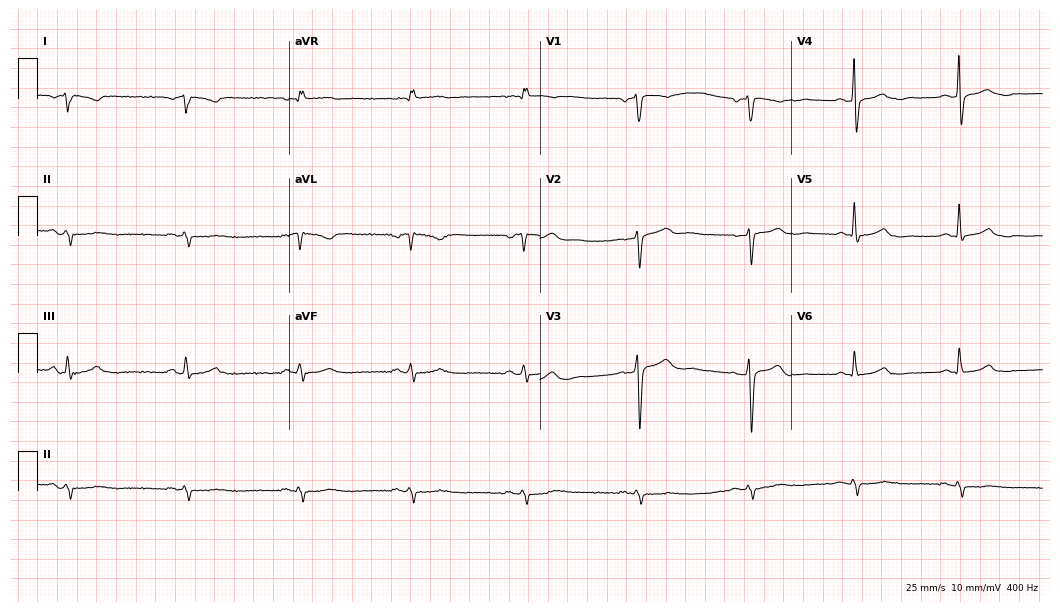
Resting 12-lead electrocardiogram (10.2-second recording at 400 Hz). Patient: a 60-year-old male. None of these six findings is recorded: first-degree AV block, right bundle branch block, left bundle branch block, sinus bradycardia, atrial fibrillation, sinus tachycardia. Other findings, if any, are not listed.